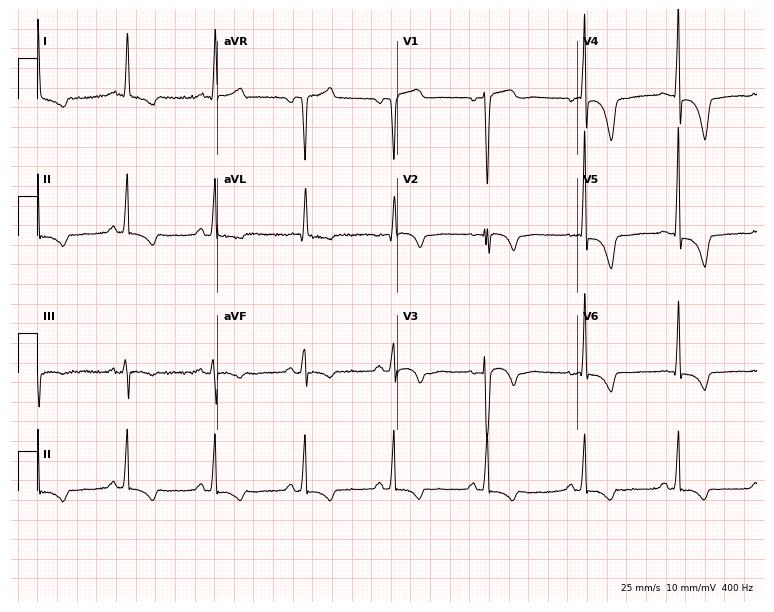
ECG — a 66-year-old female. Screened for six findings — first-degree AV block, right bundle branch block (RBBB), left bundle branch block (LBBB), sinus bradycardia, atrial fibrillation (AF), sinus tachycardia — none is recorded.